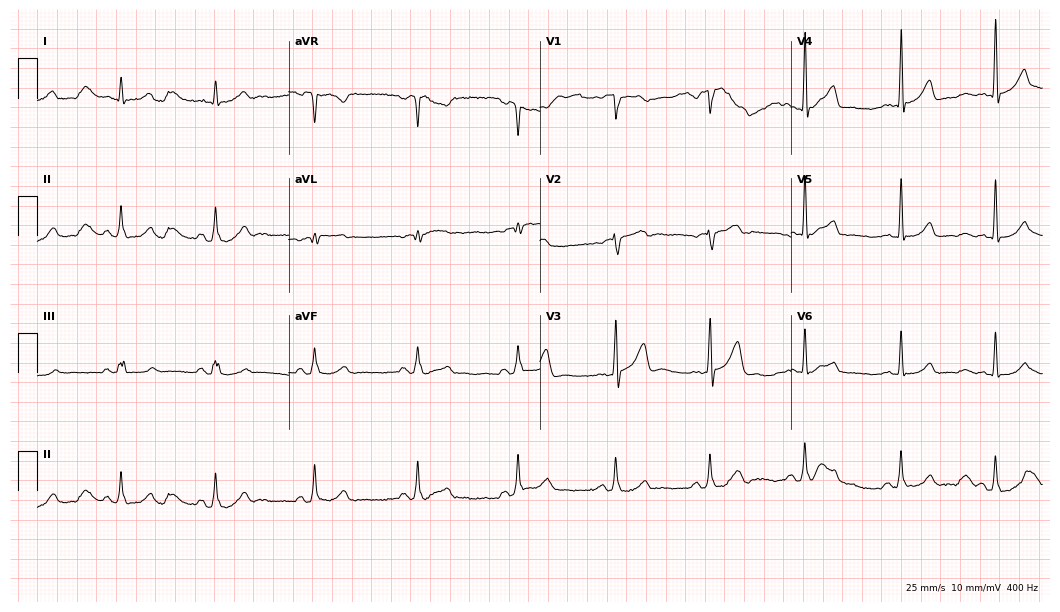
12-lead ECG from a 66-year-old male patient (10.2-second recording at 400 Hz). Recorded interpretation: within normal limits.